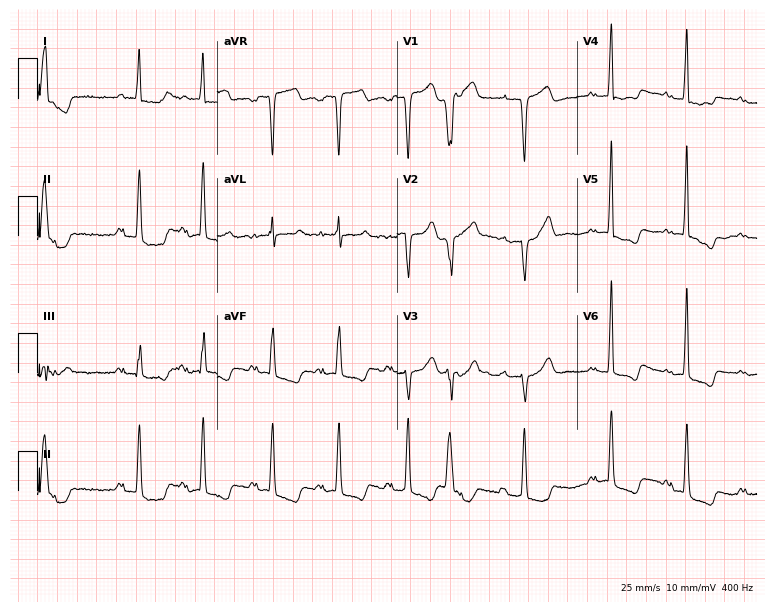
12-lead ECG (7.3-second recording at 400 Hz) from a female, 77 years old. Screened for six findings — first-degree AV block, right bundle branch block, left bundle branch block, sinus bradycardia, atrial fibrillation, sinus tachycardia — none is recorded. Only these six findings were labelled.